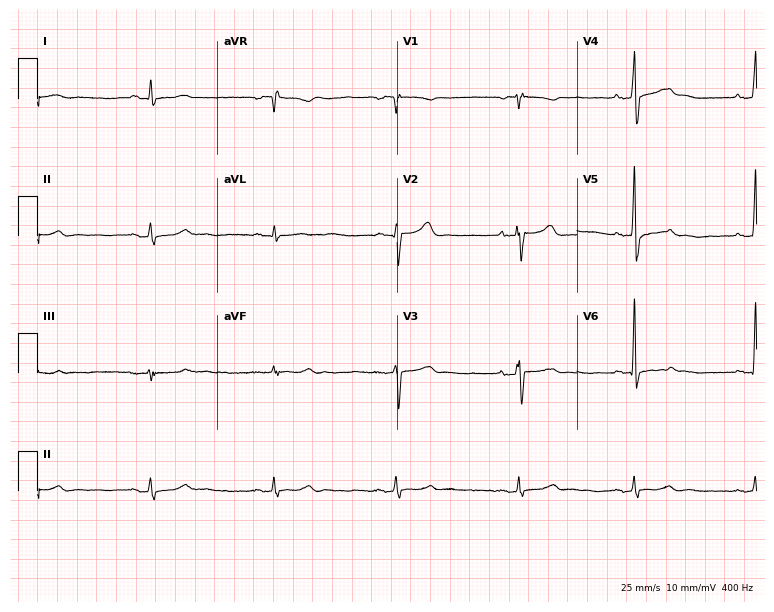
Standard 12-lead ECG recorded from a 60-year-old man (7.3-second recording at 400 Hz). None of these six findings is recorded: first-degree AV block, right bundle branch block (RBBB), left bundle branch block (LBBB), sinus bradycardia, atrial fibrillation (AF), sinus tachycardia. Other findings, if any, are not listed.